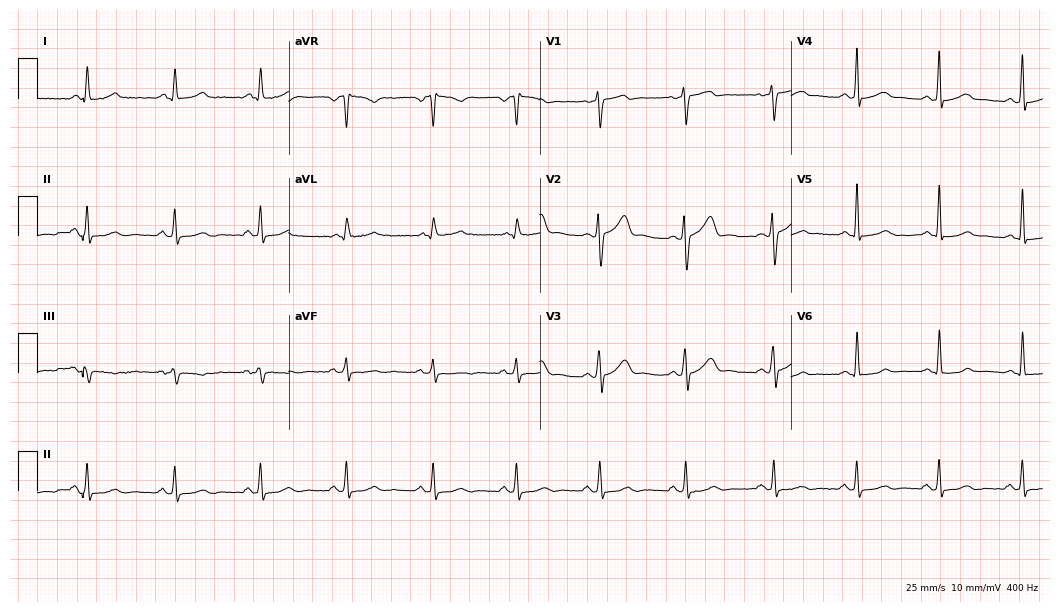
12-lead ECG from a male, 32 years old. No first-degree AV block, right bundle branch block, left bundle branch block, sinus bradycardia, atrial fibrillation or sinus tachycardia recorded for this tracing.